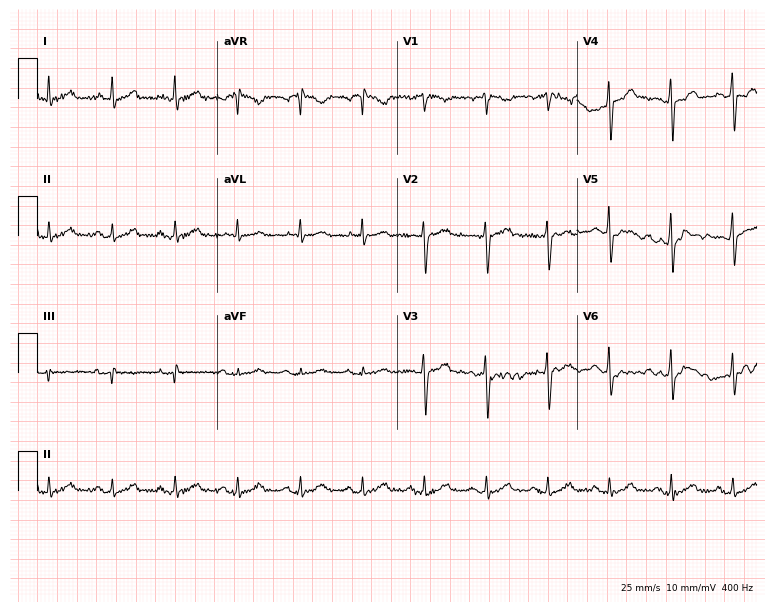
ECG (7.3-second recording at 400 Hz) — a male, 44 years old. Screened for six findings — first-degree AV block, right bundle branch block, left bundle branch block, sinus bradycardia, atrial fibrillation, sinus tachycardia — none is recorded.